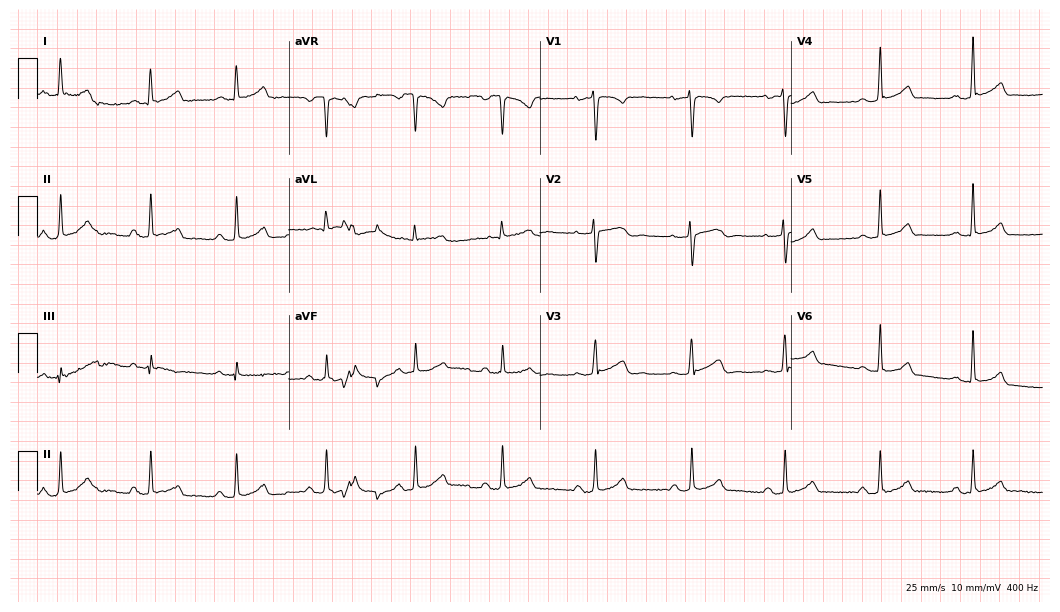
ECG (10.2-second recording at 400 Hz) — a female patient, 37 years old. Screened for six findings — first-degree AV block, right bundle branch block (RBBB), left bundle branch block (LBBB), sinus bradycardia, atrial fibrillation (AF), sinus tachycardia — none is recorded.